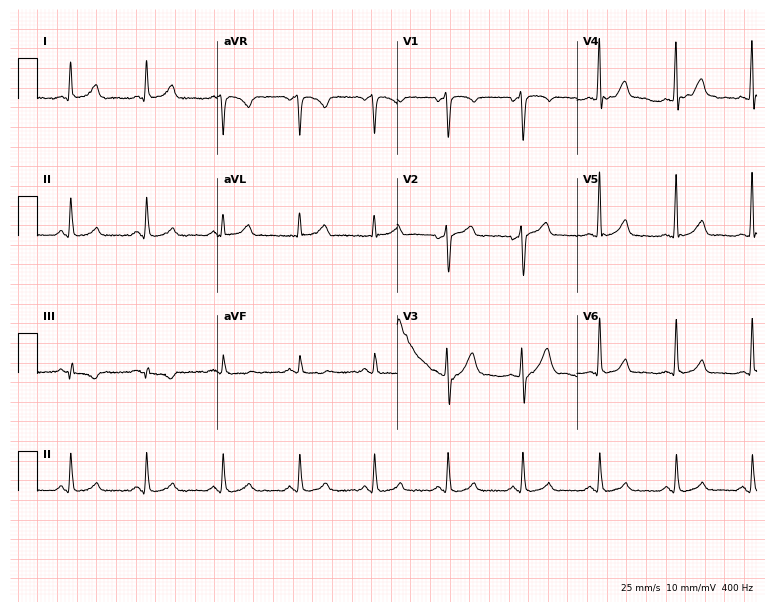
Resting 12-lead electrocardiogram (7.3-second recording at 400 Hz). Patient: a male, 46 years old. Read as a normal ECG.